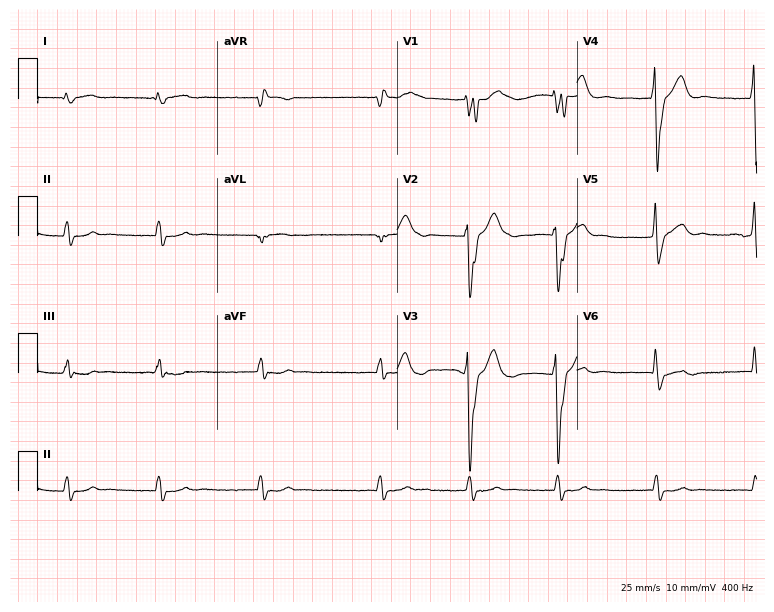
12-lead ECG from an 85-year-old male patient. Findings include right bundle branch block, atrial fibrillation.